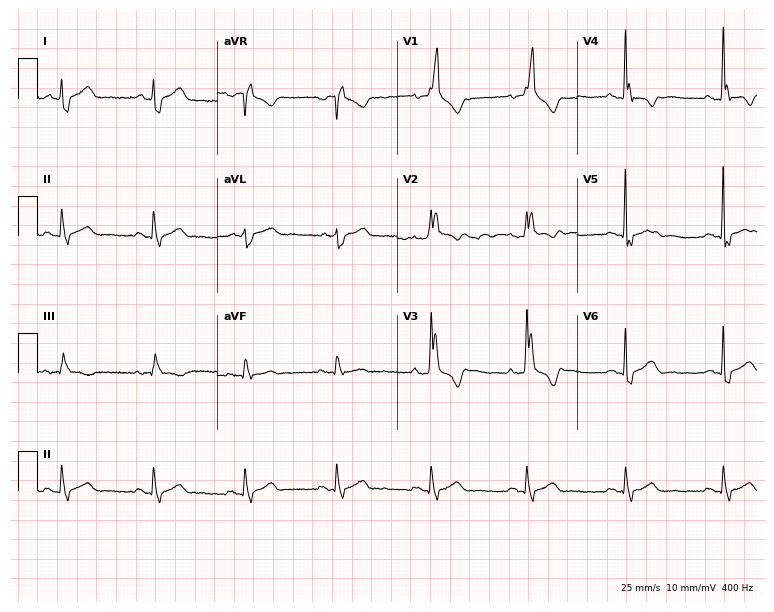
ECG (7.3-second recording at 400 Hz) — a 59-year-old male patient. Findings include right bundle branch block (RBBB).